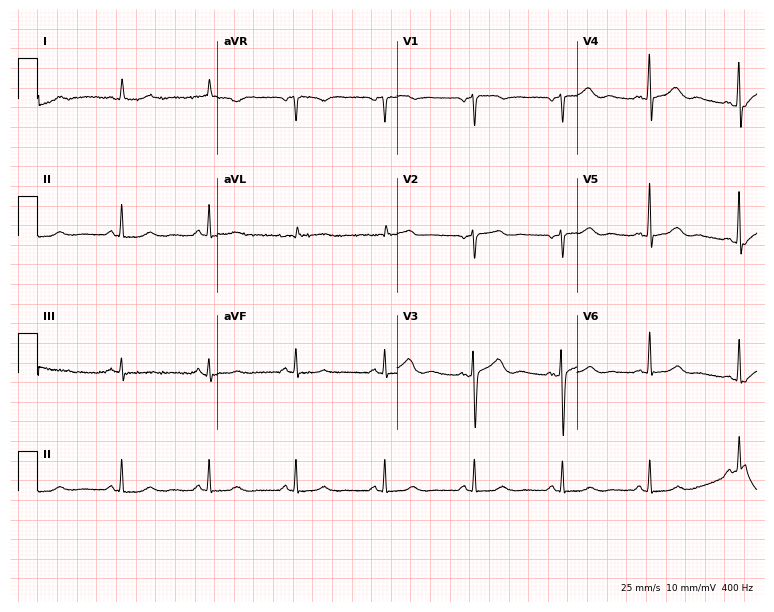
12-lead ECG from a 55-year-old female (7.3-second recording at 400 Hz). Recorded interpretation: within normal limits.